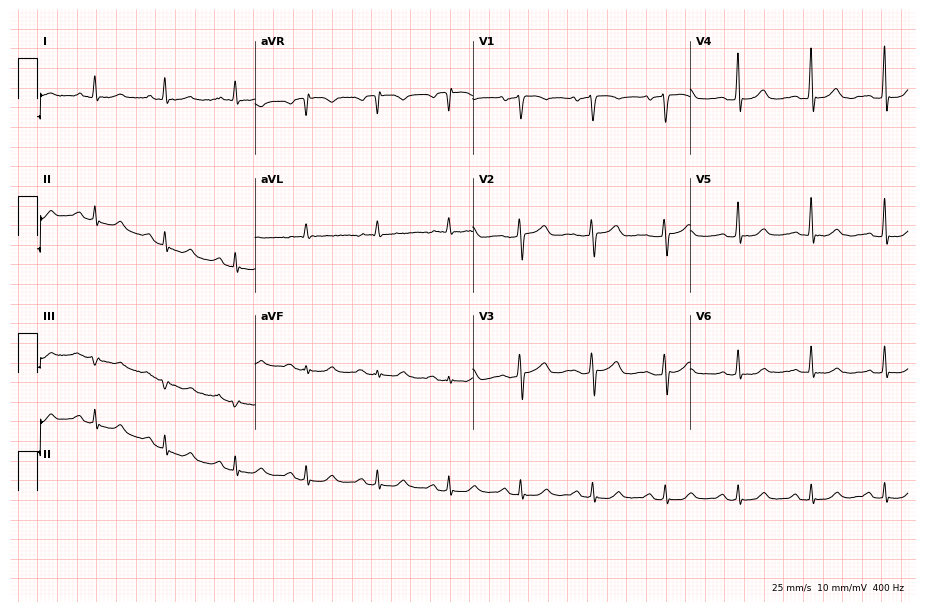
Resting 12-lead electrocardiogram. Patient: a male, 74 years old. Read as a normal ECG.